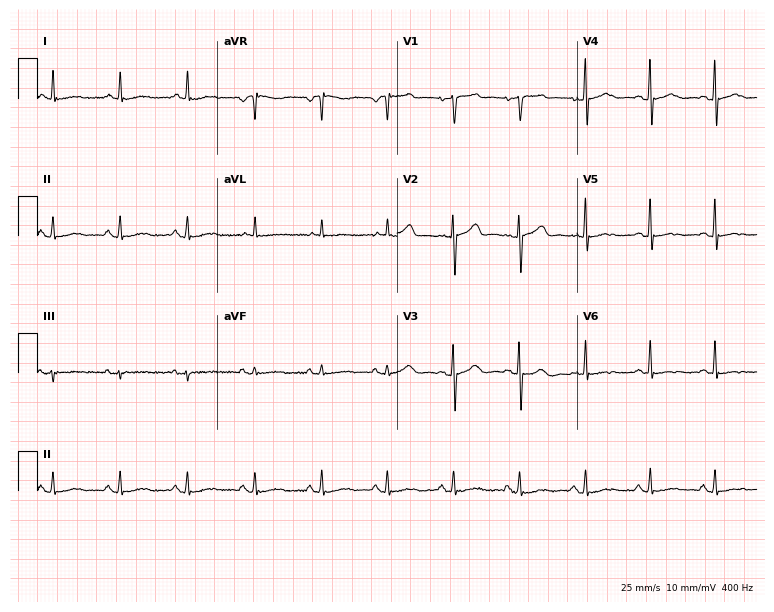
12-lead ECG (7.3-second recording at 400 Hz) from a 44-year-old woman. Screened for six findings — first-degree AV block, right bundle branch block, left bundle branch block, sinus bradycardia, atrial fibrillation, sinus tachycardia — none is recorded. Other findings, if any, are not listed.